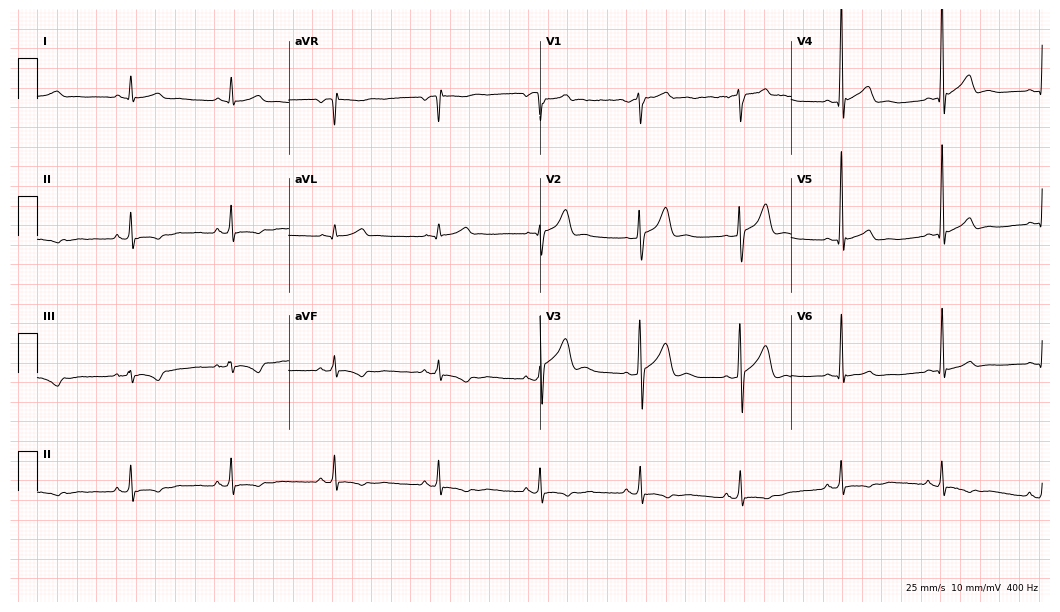
Resting 12-lead electrocardiogram. Patient: a male, 49 years old. None of these six findings is recorded: first-degree AV block, right bundle branch block, left bundle branch block, sinus bradycardia, atrial fibrillation, sinus tachycardia.